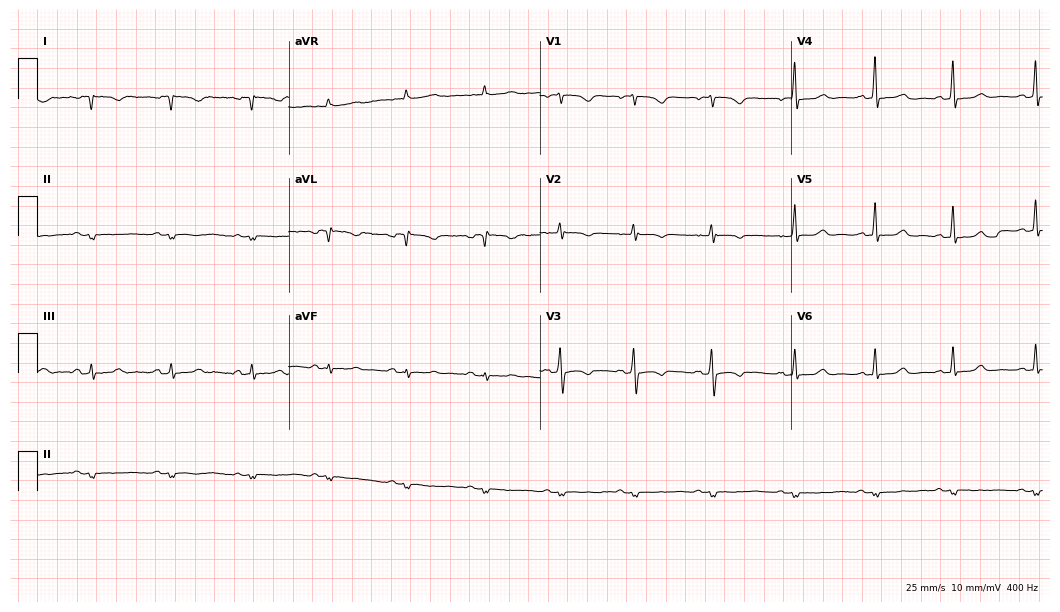
ECG (10.2-second recording at 400 Hz) — a 49-year-old female. Screened for six findings — first-degree AV block, right bundle branch block (RBBB), left bundle branch block (LBBB), sinus bradycardia, atrial fibrillation (AF), sinus tachycardia — none is recorded. Findings outside these six are not listed.